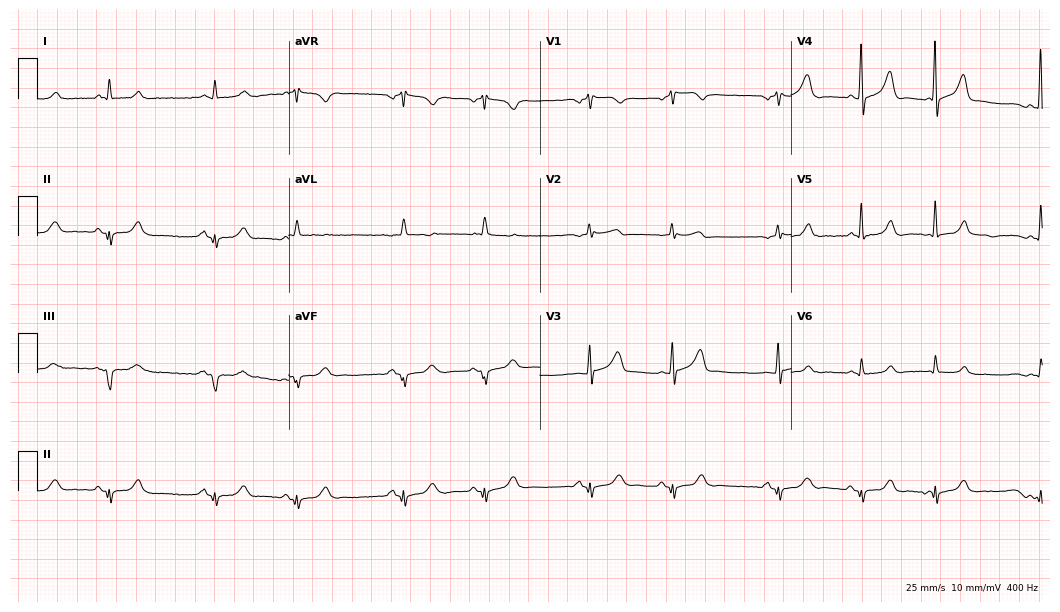
12-lead ECG from an 81-year-old man. Screened for six findings — first-degree AV block, right bundle branch block, left bundle branch block, sinus bradycardia, atrial fibrillation, sinus tachycardia — none is recorded.